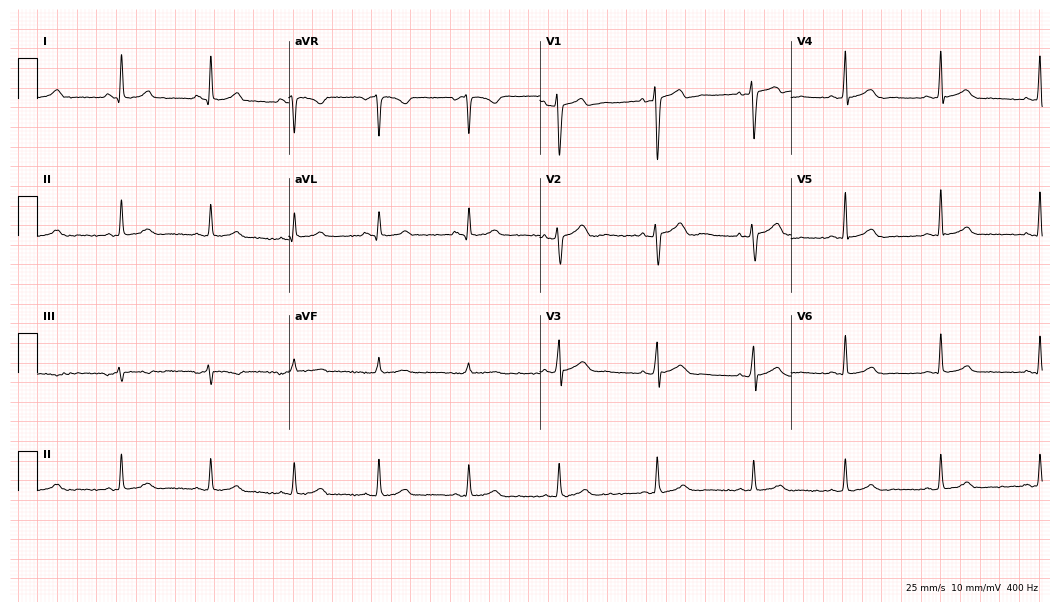
Standard 12-lead ECG recorded from a woman, 33 years old (10.2-second recording at 400 Hz). None of these six findings is recorded: first-degree AV block, right bundle branch block, left bundle branch block, sinus bradycardia, atrial fibrillation, sinus tachycardia. Findings outside these six are not listed.